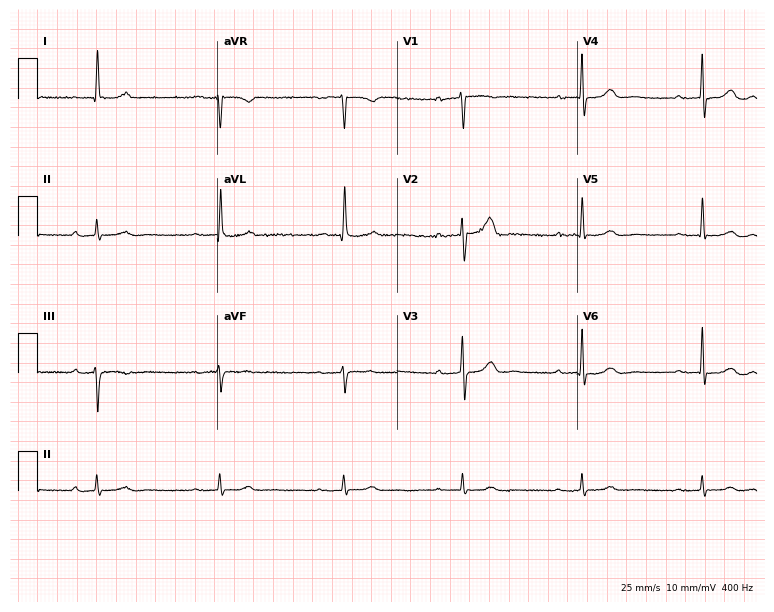
12-lead ECG from a male patient, 74 years old. Shows sinus bradycardia (a sinus rate of 50 beats per minute or less).